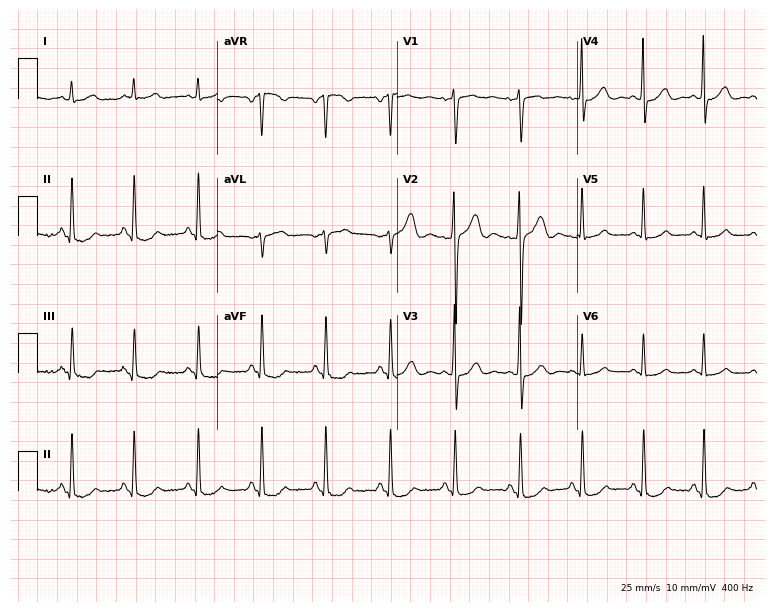
12-lead ECG from a male, 62 years old (7.3-second recording at 400 Hz). Recorded interpretation: within normal limits.